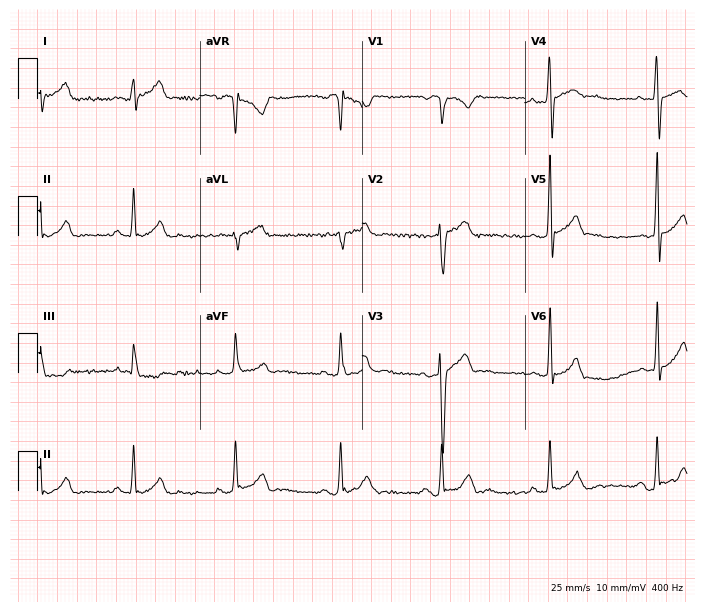
12-lead ECG (6.6-second recording at 400 Hz) from a 21-year-old man. Screened for six findings — first-degree AV block, right bundle branch block (RBBB), left bundle branch block (LBBB), sinus bradycardia, atrial fibrillation (AF), sinus tachycardia — none is recorded.